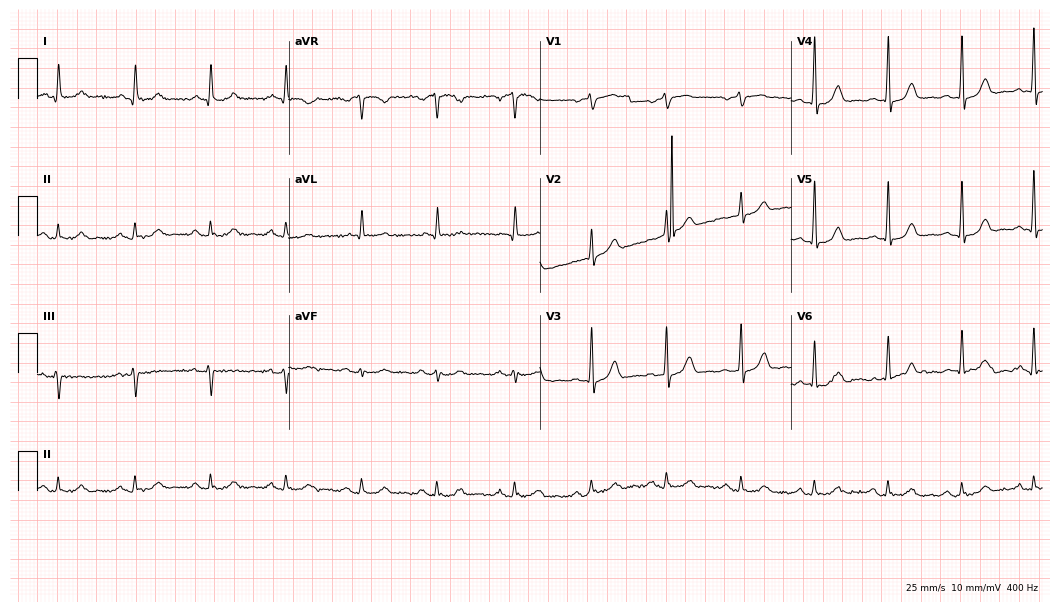
12-lead ECG from a 50-year-old man. Labelled as a normal ECG.